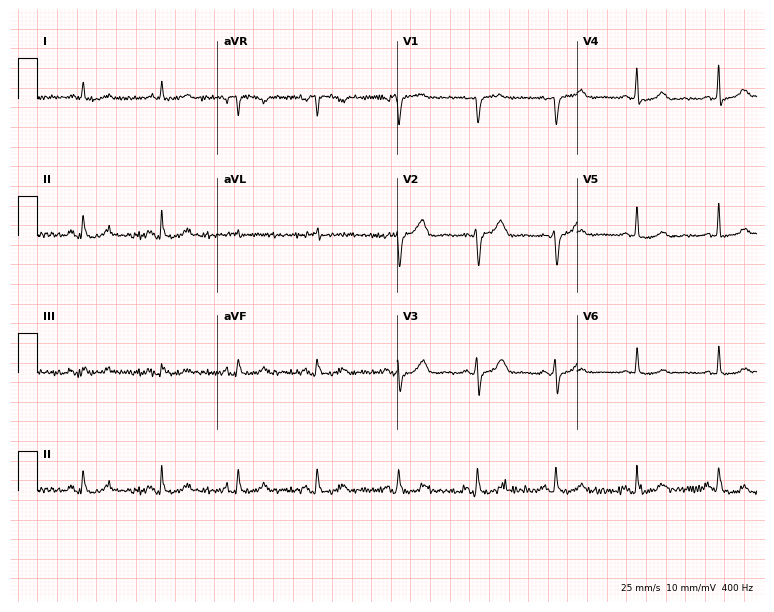
Standard 12-lead ECG recorded from a 54-year-old female. Read as a normal ECG.